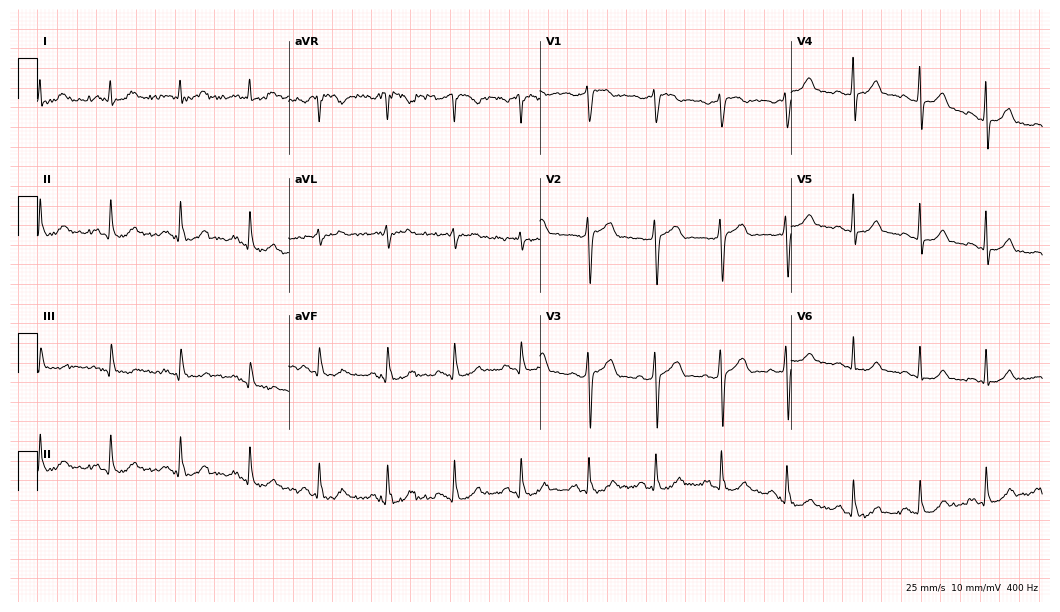
12-lead ECG (10.2-second recording at 400 Hz) from a 36-year-old male patient. Screened for six findings — first-degree AV block, right bundle branch block (RBBB), left bundle branch block (LBBB), sinus bradycardia, atrial fibrillation (AF), sinus tachycardia — none is recorded.